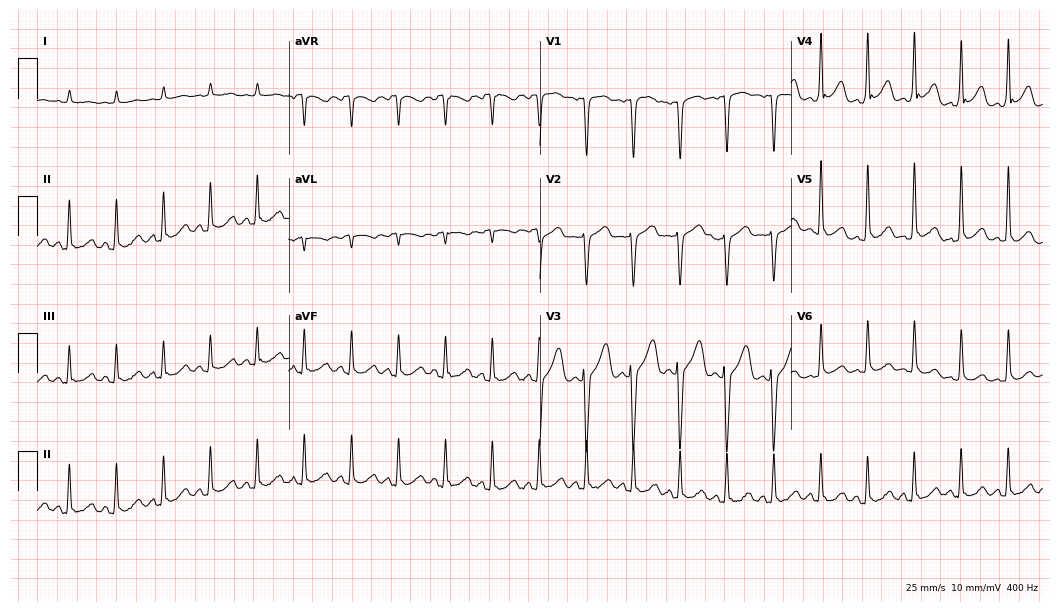
Standard 12-lead ECG recorded from a male patient, 62 years old (10.2-second recording at 400 Hz). The tracing shows sinus tachycardia (a sinus rate of 100 beats per minute or more).